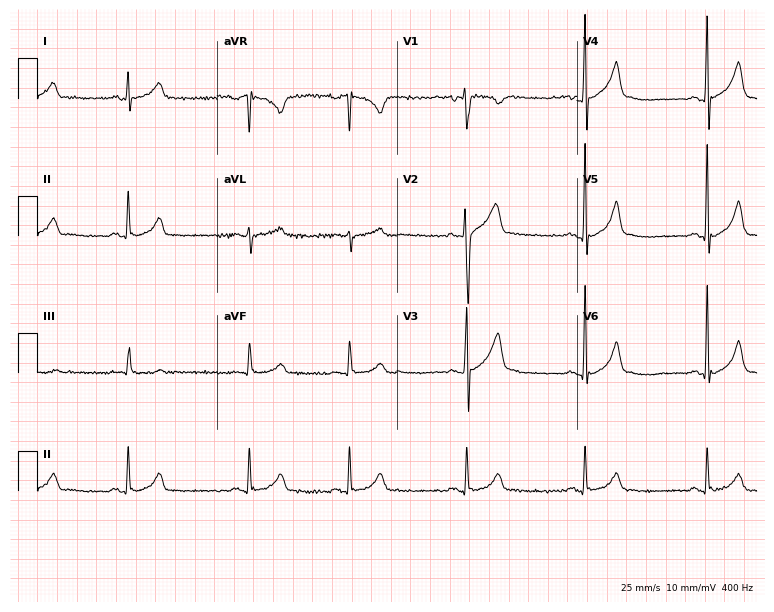
12-lead ECG (7.3-second recording at 400 Hz) from a 21-year-old male patient. Labelled as a normal ECG.